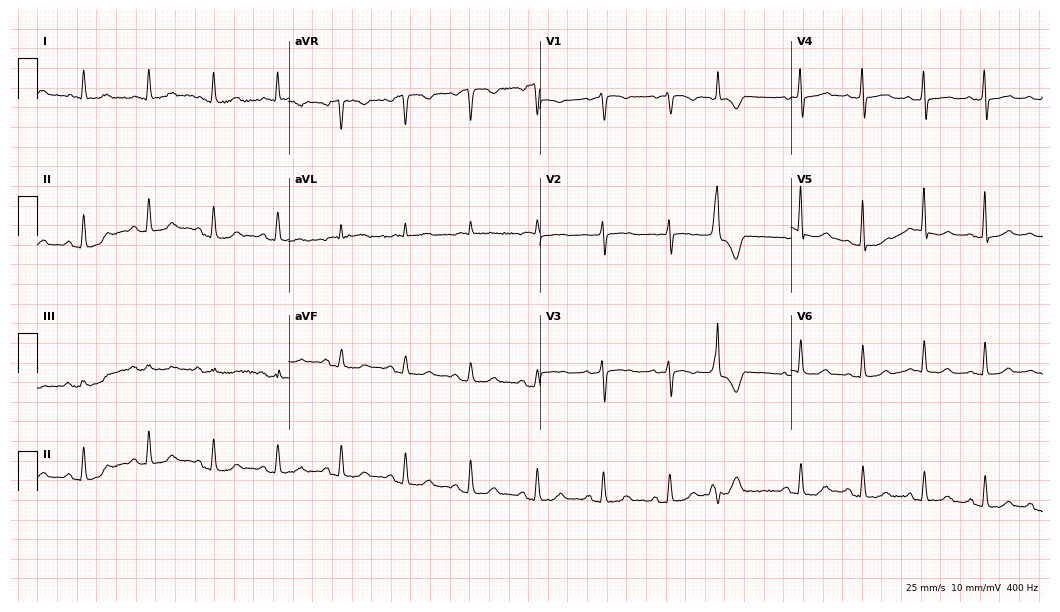
Standard 12-lead ECG recorded from a female patient, 63 years old. Read as a normal ECG.